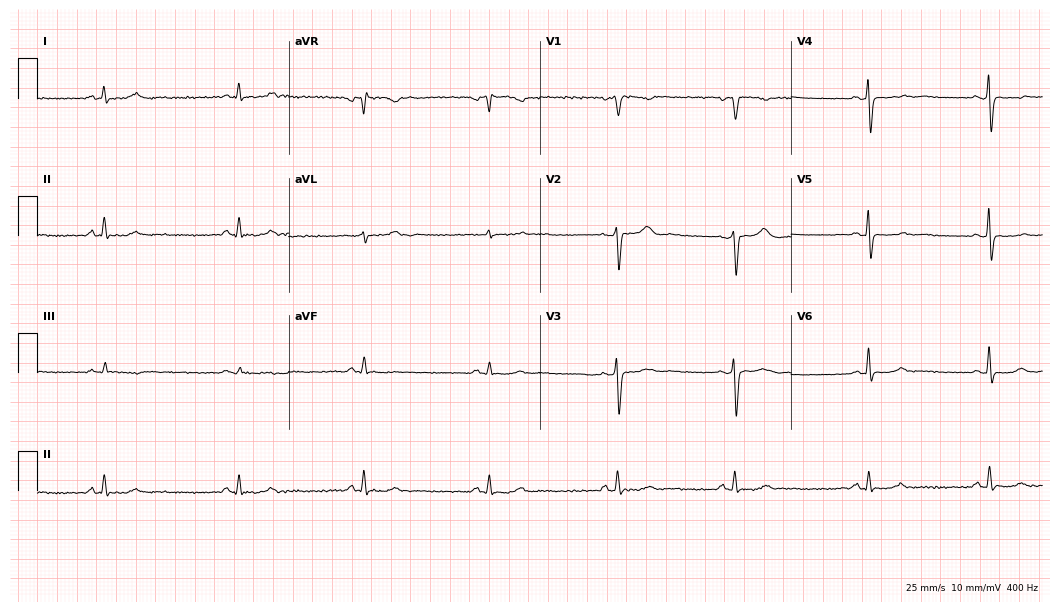
12-lead ECG (10.2-second recording at 400 Hz) from a 60-year-old female. Findings include sinus bradycardia (a sinus rate of 50 beats per minute or less).